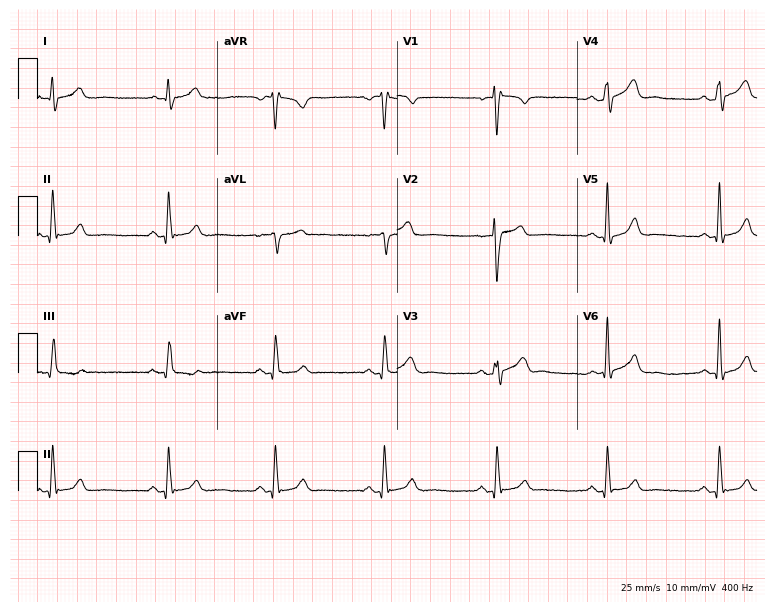
Resting 12-lead electrocardiogram. Patient: a male, 32 years old. Read as a normal ECG.